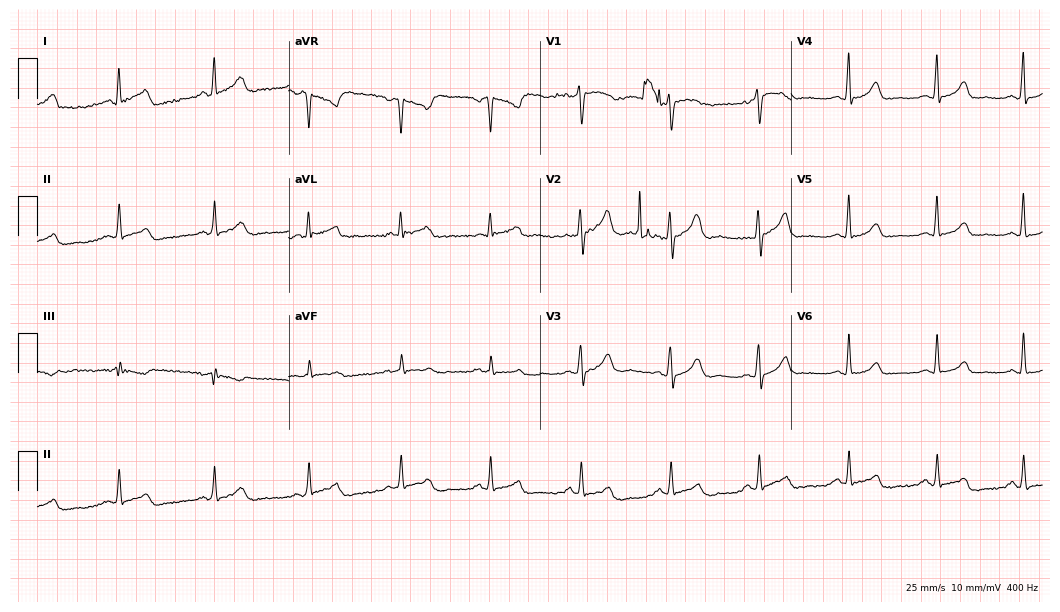
Electrocardiogram, a female patient, 51 years old. Of the six screened findings (first-degree AV block, right bundle branch block, left bundle branch block, sinus bradycardia, atrial fibrillation, sinus tachycardia), none is recorded. Only these six findings were labelled.